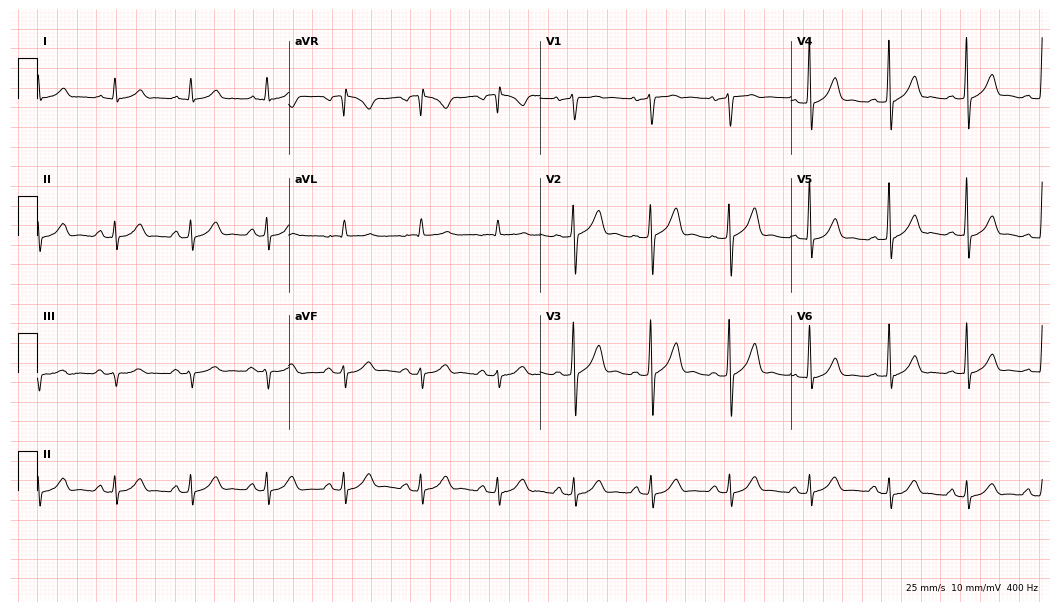
ECG (10.2-second recording at 400 Hz) — a 56-year-old man. Labelled as a normal ECG.